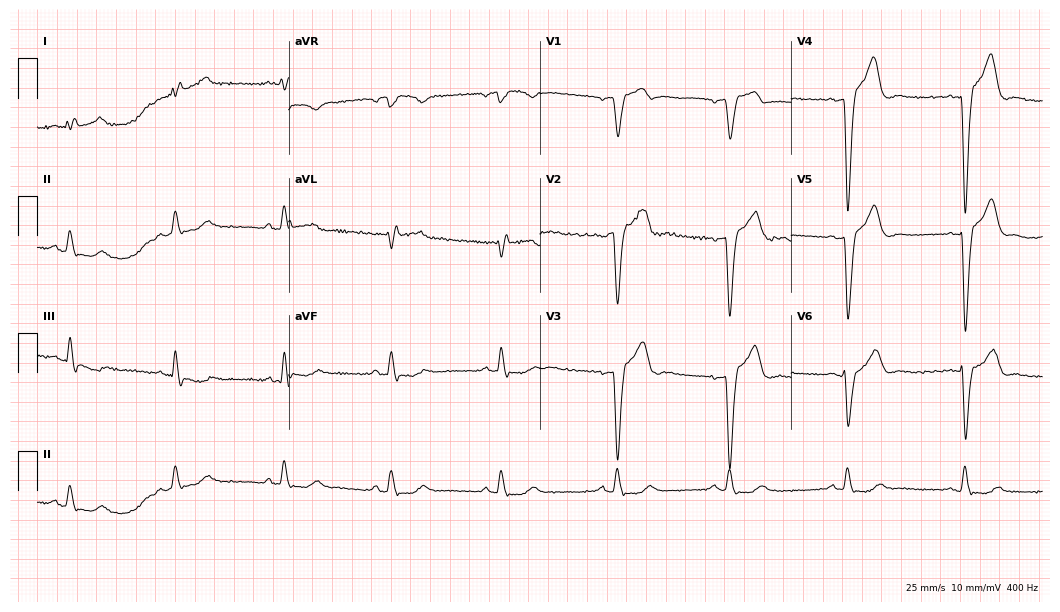
Resting 12-lead electrocardiogram. Patient: a man, 64 years old. The tracing shows left bundle branch block (LBBB).